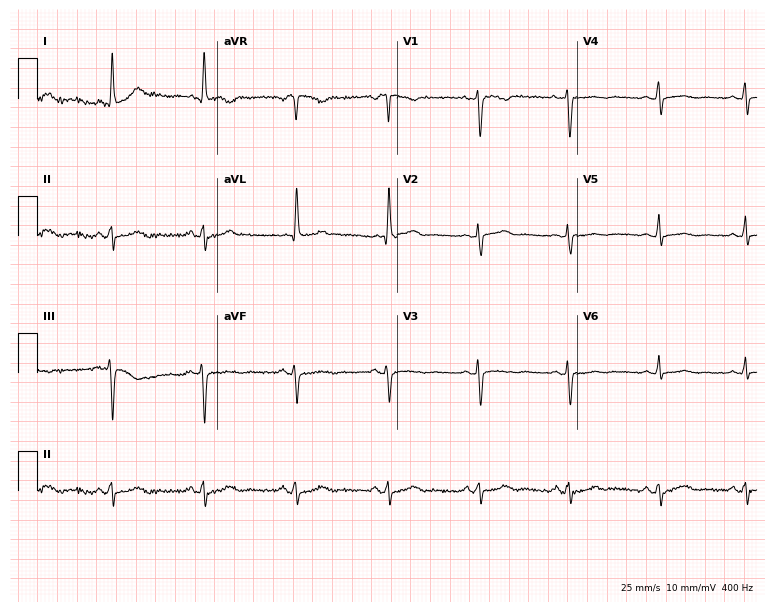
12-lead ECG from a 53-year-old female. Screened for six findings — first-degree AV block, right bundle branch block (RBBB), left bundle branch block (LBBB), sinus bradycardia, atrial fibrillation (AF), sinus tachycardia — none is recorded.